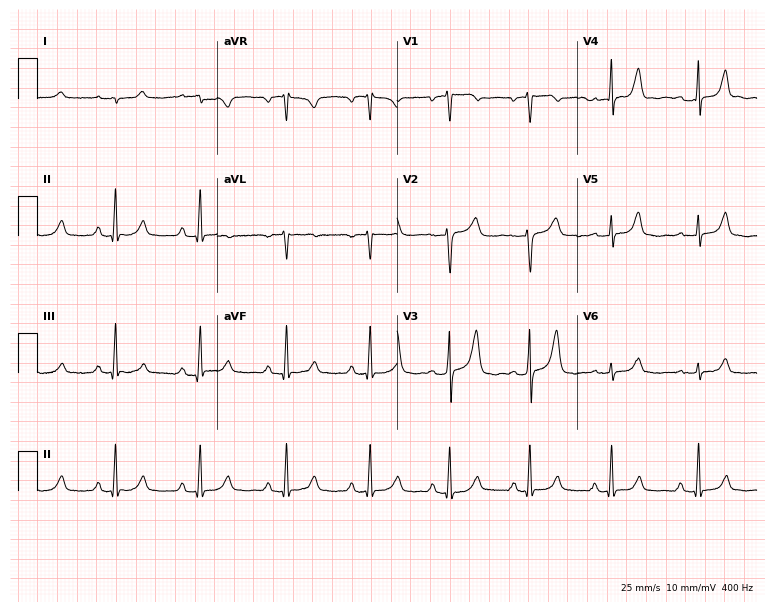
ECG (7.3-second recording at 400 Hz) — a female, 50 years old. Labelled as a normal ECG.